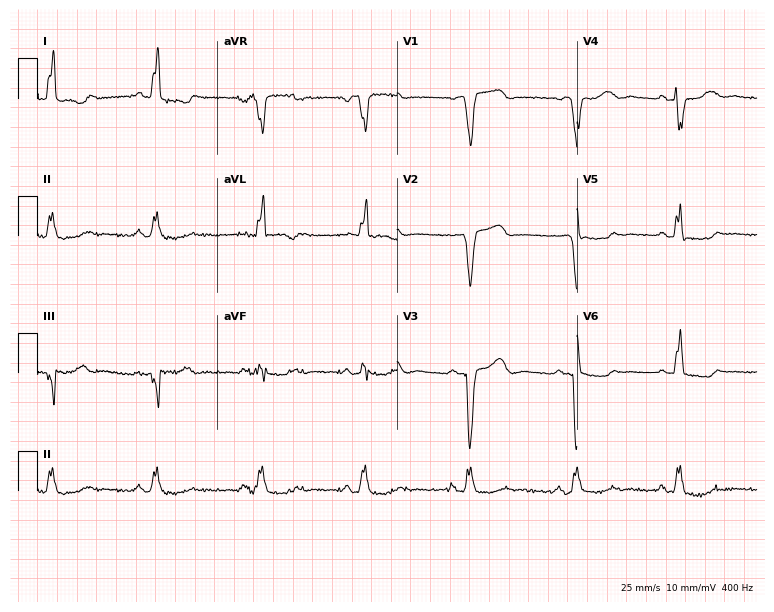
Standard 12-lead ECG recorded from a woman, 78 years old (7.3-second recording at 400 Hz). None of these six findings is recorded: first-degree AV block, right bundle branch block (RBBB), left bundle branch block (LBBB), sinus bradycardia, atrial fibrillation (AF), sinus tachycardia. Only these six findings were labelled.